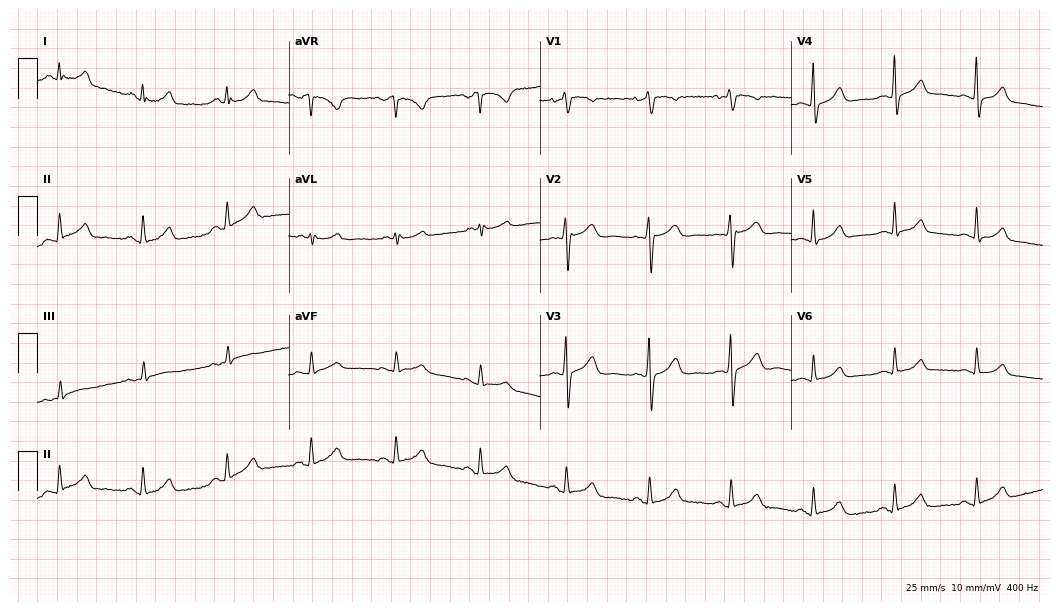
12-lead ECG from a 40-year-old female patient. Labelled as a normal ECG.